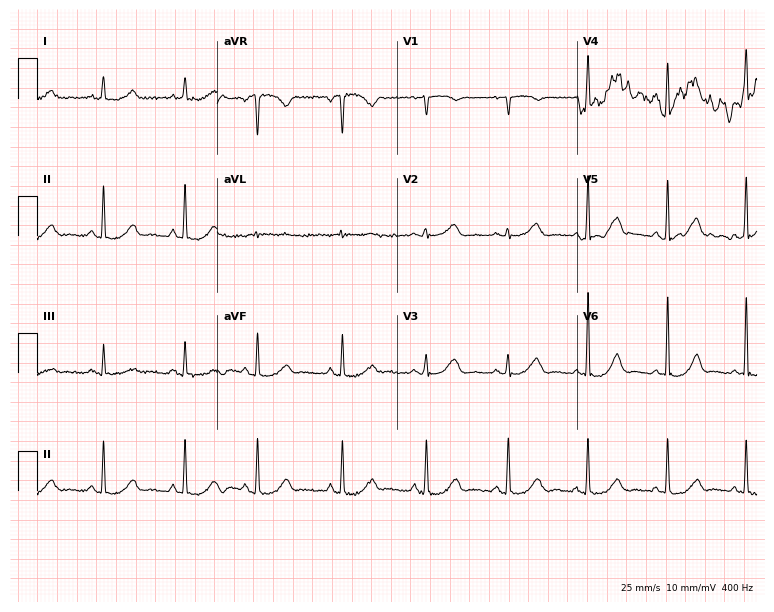
Electrocardiogram (7.3-second recording at 400 Hz), a female, 81 years old. Overall reading on record: normal ECG.